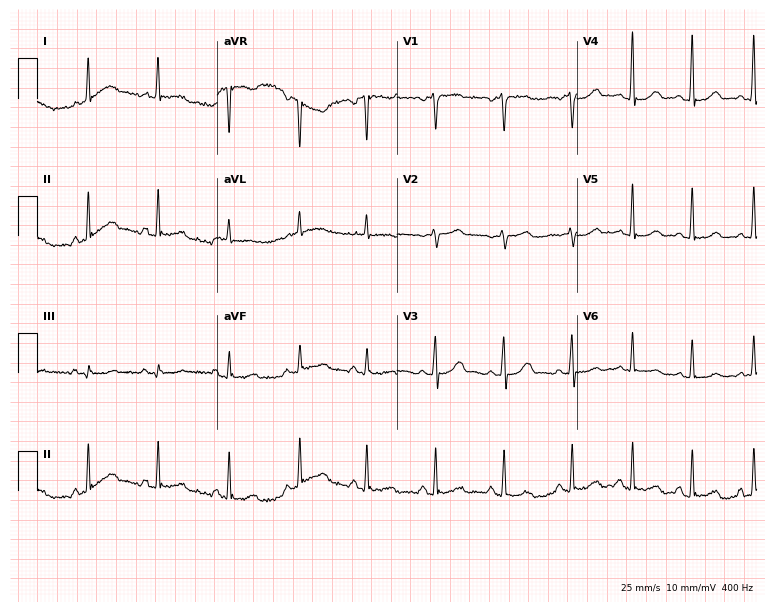
Resting 12-lead electrocardiogram. Patient: a female, 46 years old. None of these six findings is recorded: first-degree AV block, right bundle branch block, left bundle branch block, sinus bradycardia, atrial fibrillation, sinus tachycardia. Findings outside these six are not listed.